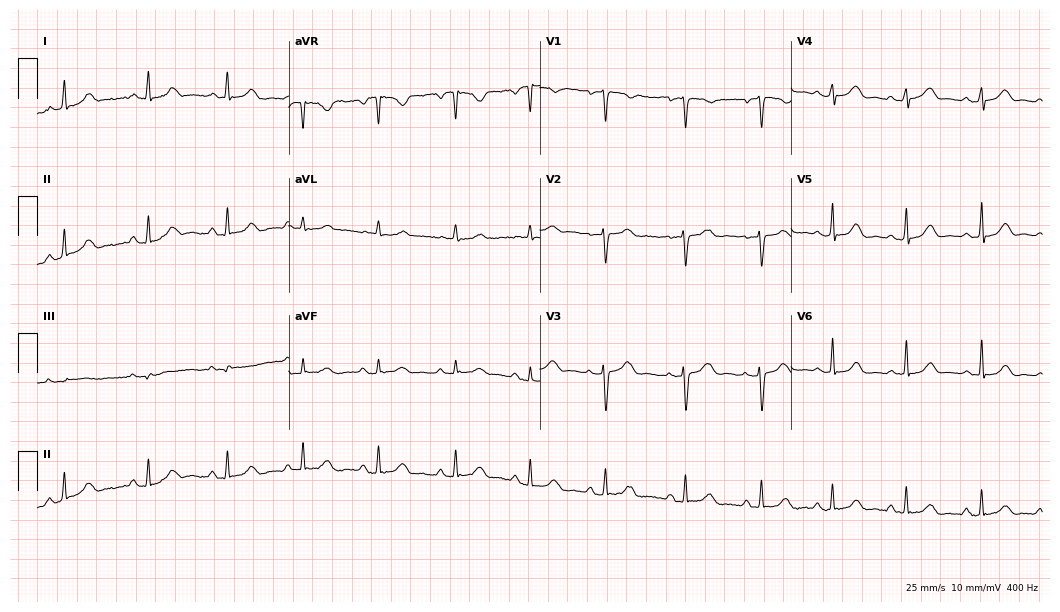
Standard 12-lead ECG recorded from a woman, 48 years old. Read as a normal ECG.